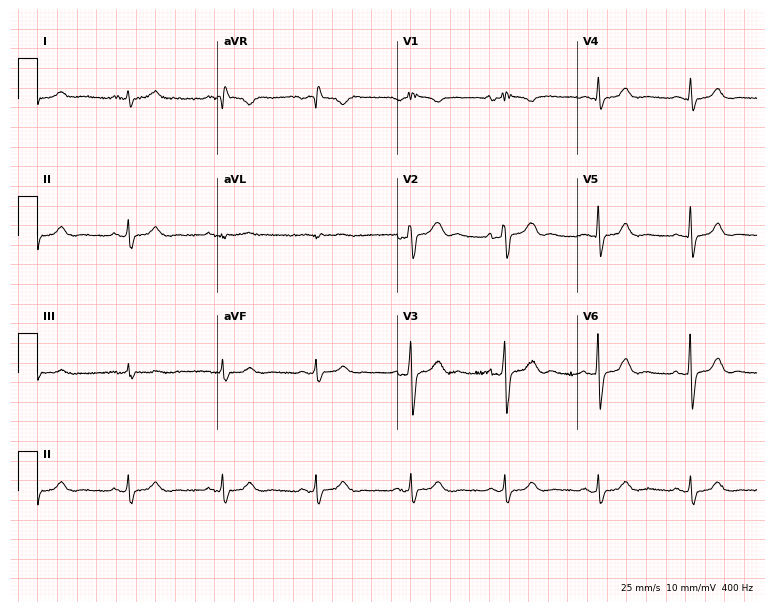
ECG — a 67-year-old male patient. Screened for six findings — first-degree AV block, right bundle branch block, left bundle branch block, sinus bradycardia, atrial fibrillation, sinus tachycardia — none is recorded.